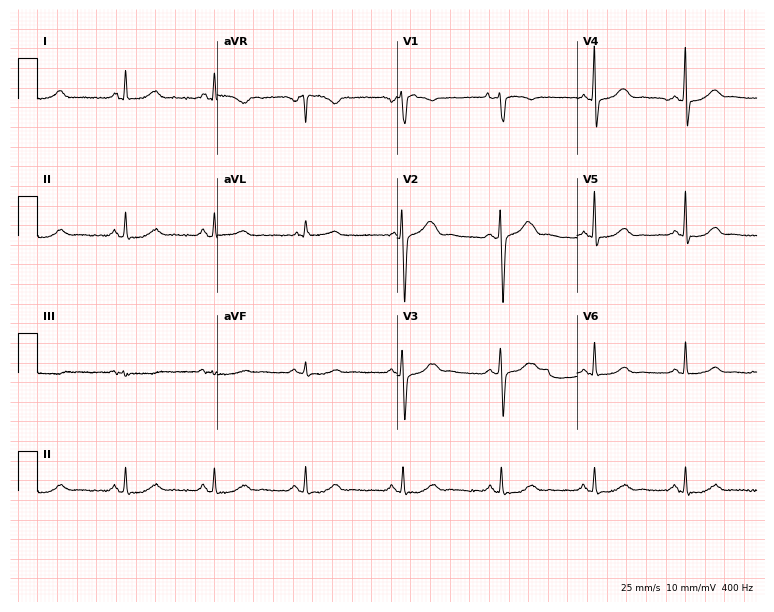
Standard 12-lead ECG recorded from a woman, 38 years old. Read as a normal ECG.